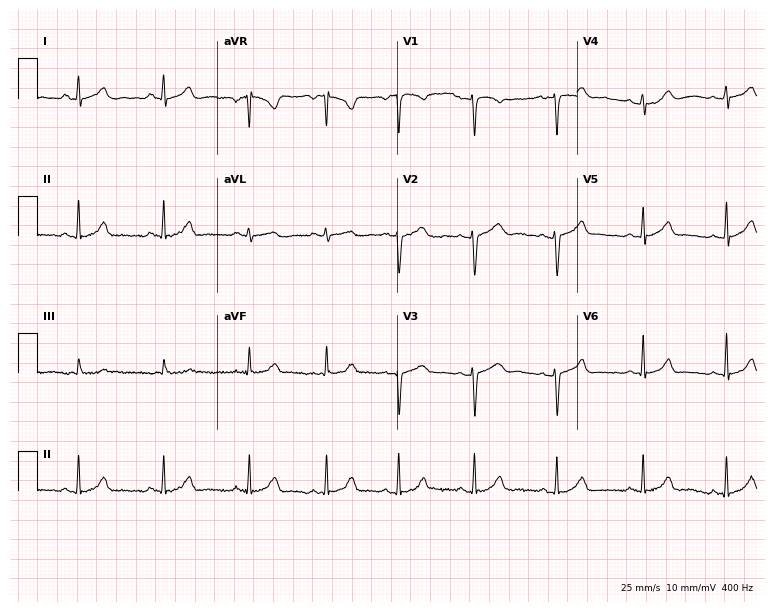
12-lead ECG from a woman, 23 years old. Labelled as a normal ECG.